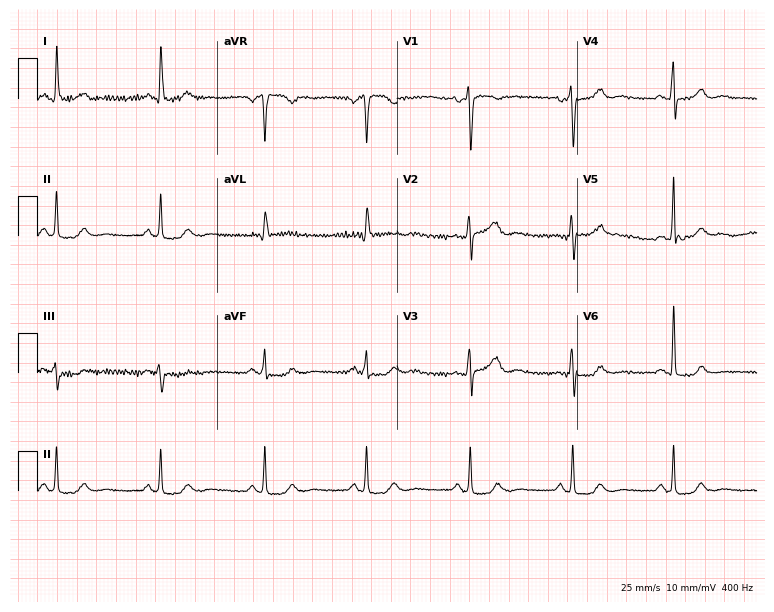
Resting 12-lead electrocardiogram (7.3-second recording at 400 Hz). Patient: a woman, 52 years old. Read as a normal ECG.